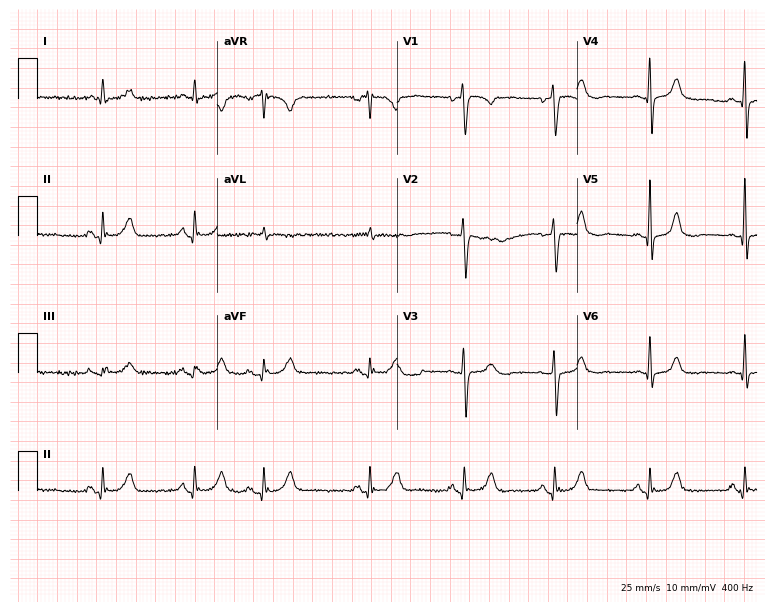
12-lead ECG from a male patient, 87 years old (7.3-second recording at 400 Hz). No first-degree AV block, right bundle branch block (RBBB), left bundle branch block (LBBB), sinus bradycardia, atrial fibrillation (AF) or sinus tachycardia recorded for this tracing.